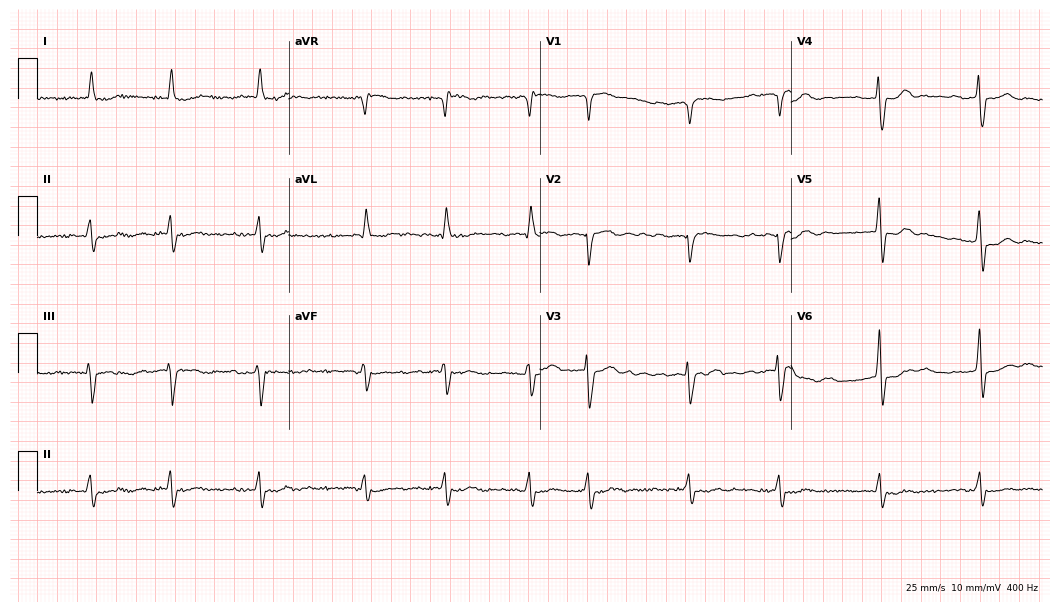
Electrocardiogram, an 82-year-old female. Interpretation includes atrial fibrillation.